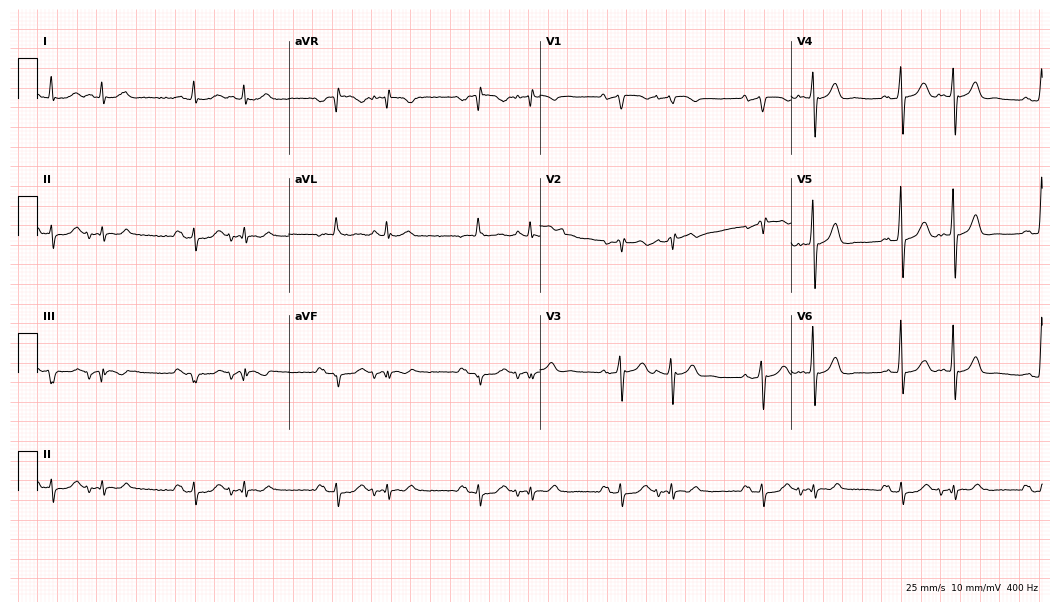
12-lead ECG from a 75-year-old male patient. Screened for six findings — first-degree AV block, right bundle branch block, left bundle branch block, sinus bradycardia, atrial fibrillation, sinus tachycardia — none is recorded.